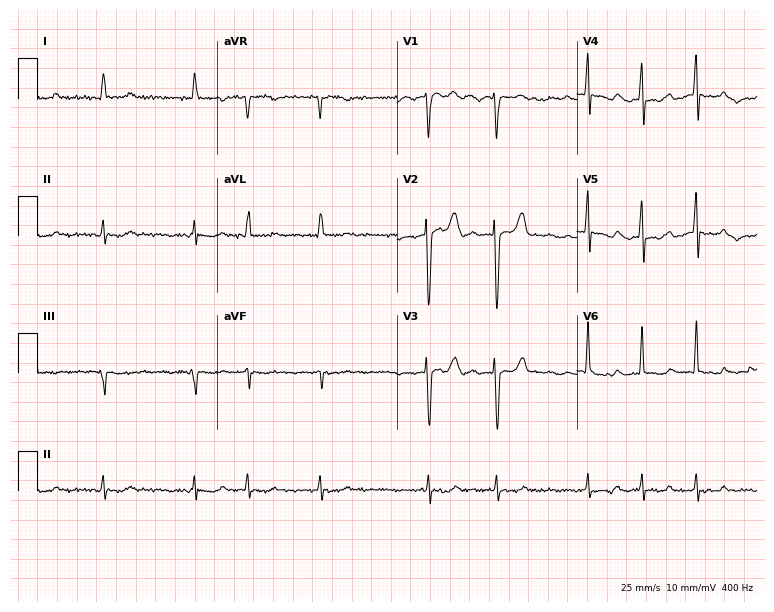
Electrocardiogram, a male, 77 years old. Interpretation includes atrial fibrillation (AF).